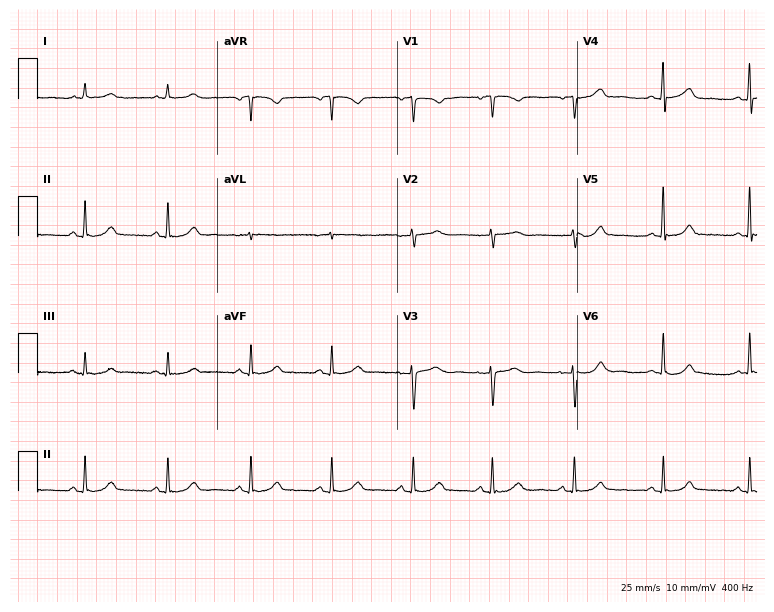
12-lead ECG from a 60-year-old woman. Recorded interpretation: within normal limits.